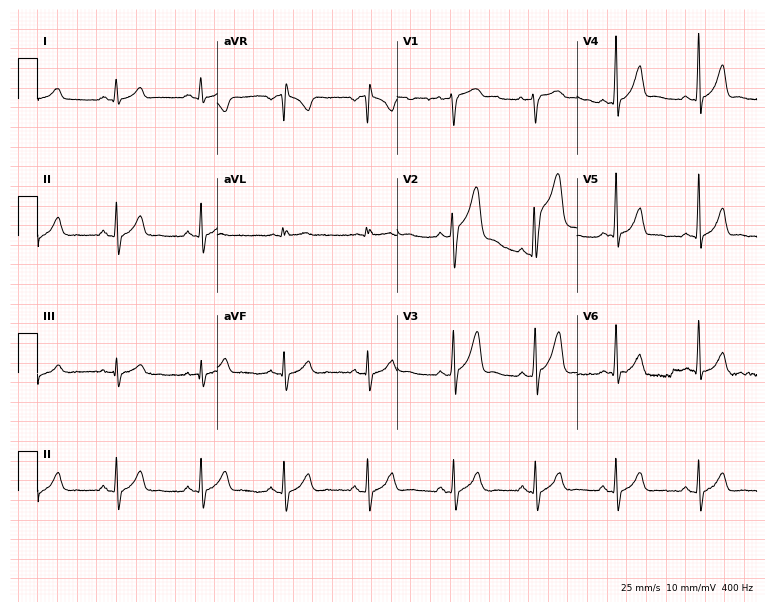
ECG — a 20-year-old male patient. Labelled as a normal ECG.